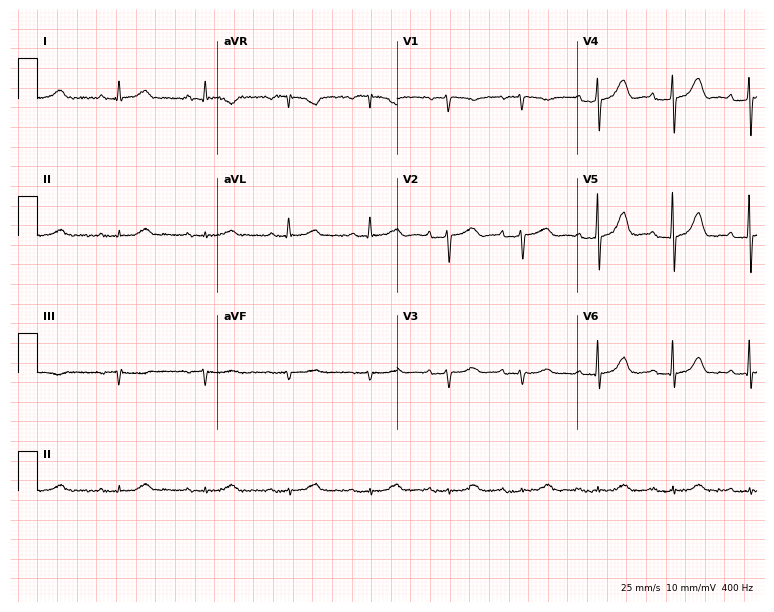
Standard 12-lead ECG recorded from a 65-year-old man (7.3-second recording at 400 Hz). None of these six findings is recorded: first-degree AV block, right bundle branch block, left bundle branch block, sinus bradycardia, atrial fibrillation, sinus tachycardia.